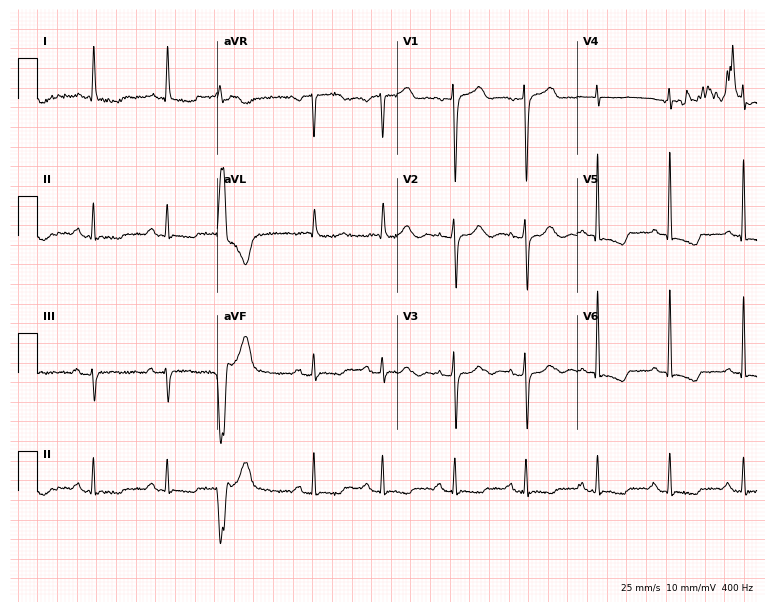
ECG — a 77-year-old woman. Screened for six findings — first-degree AV block, right bundle branch block (RBBB), left bundle branch block (LBBB), sinus bradycardia, atrial fibrillation (AF), sinus tachycardia — none is recorded.